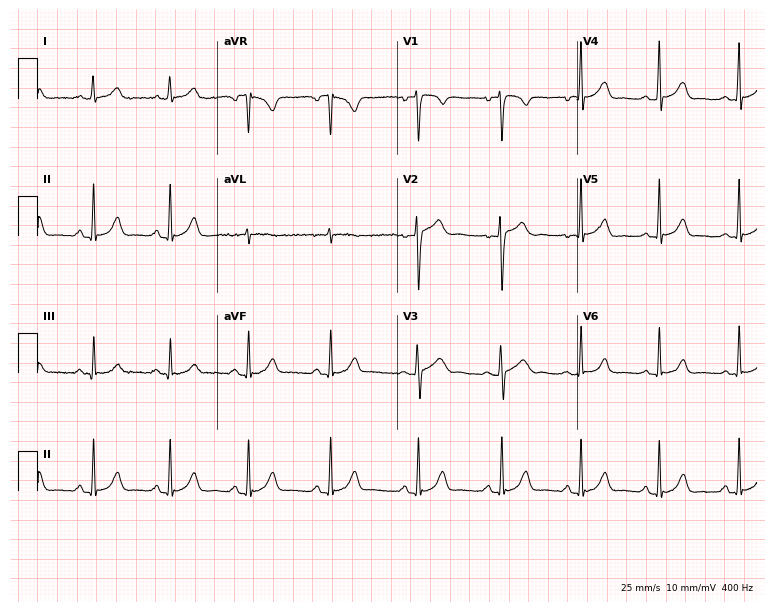
12-lead ECG from a woman, 24 years old. No first-degree AV block, right bundle branch block (RBBB), left bundle branch block (LBBB), sinus bradycardia, atrial fibrillation (AF) or sinus tachycardia recorded for this tracing.